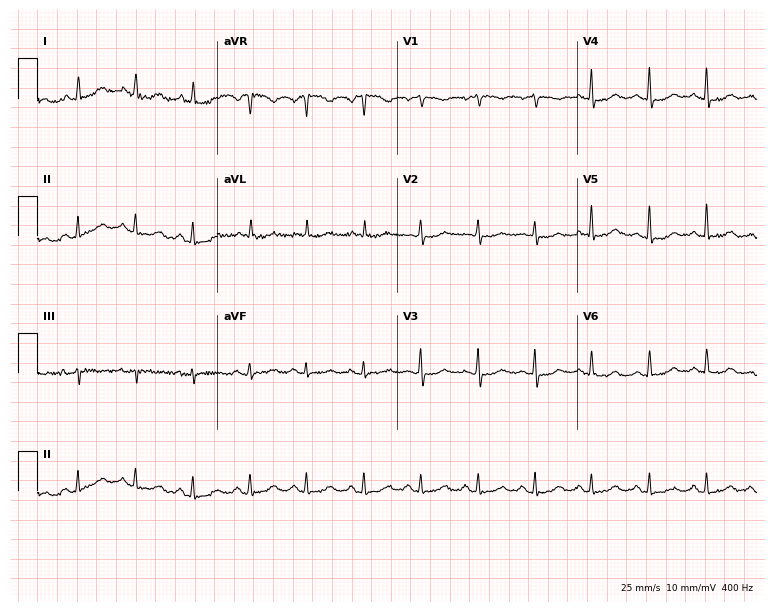
Electrocardiogram (7.3-second recording at 400 Hz), a female, 60 years old. Interpretation includes sinus tachycardia (a sinus rate of 100 beats per minute or more).